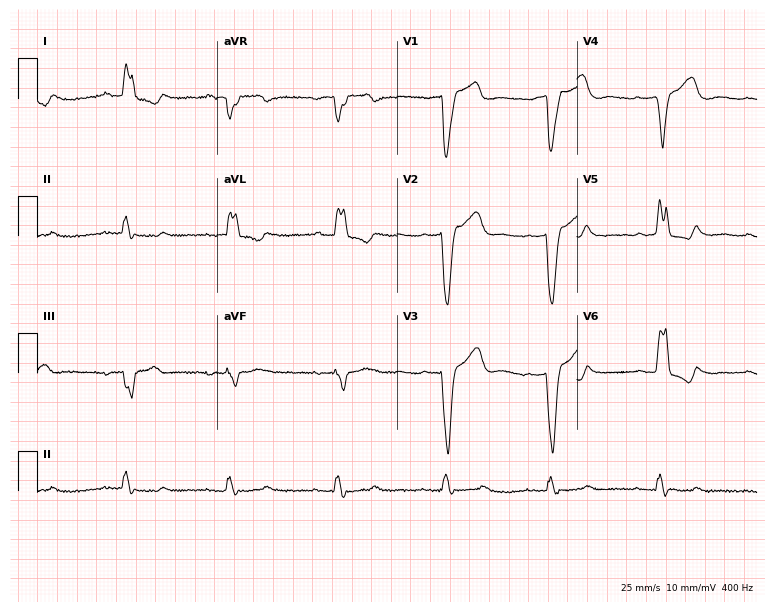
Resting 12-lead electrocardiogram. Patient: a 62-year-old woman. The tracing shows left bundle branch block.